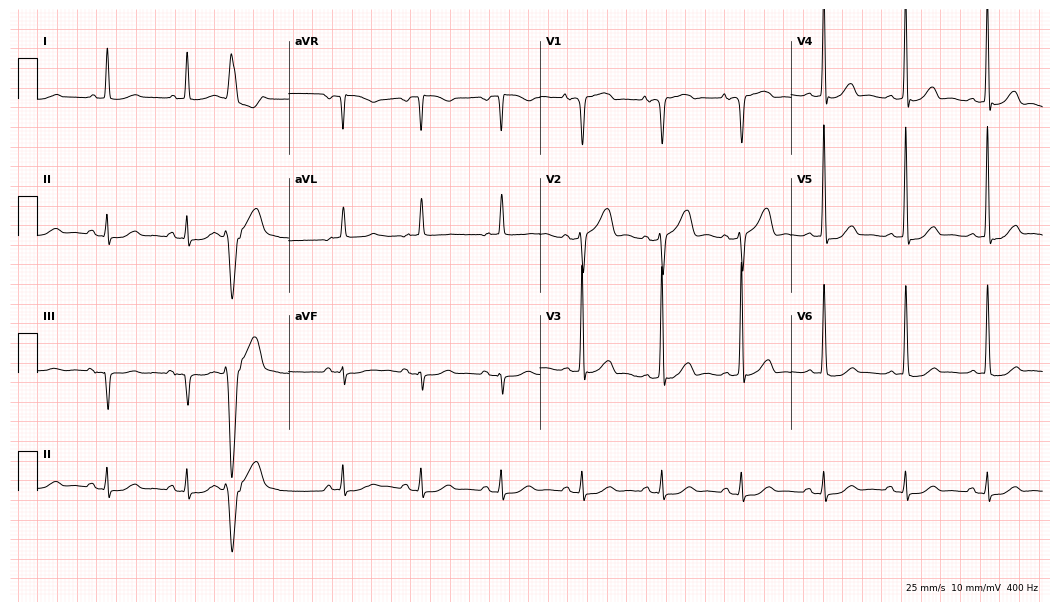
Standard 12-lead ECG recorded from a woman, 76 years old (10.2-second recording at 400 Hz). None of these six findings is recorded: first-degree AV block, right bundle branch block, left bundle branch block, sinus bradycardia, atrial fibrillation, sinus tachycardia. Only these six findings were labelled.